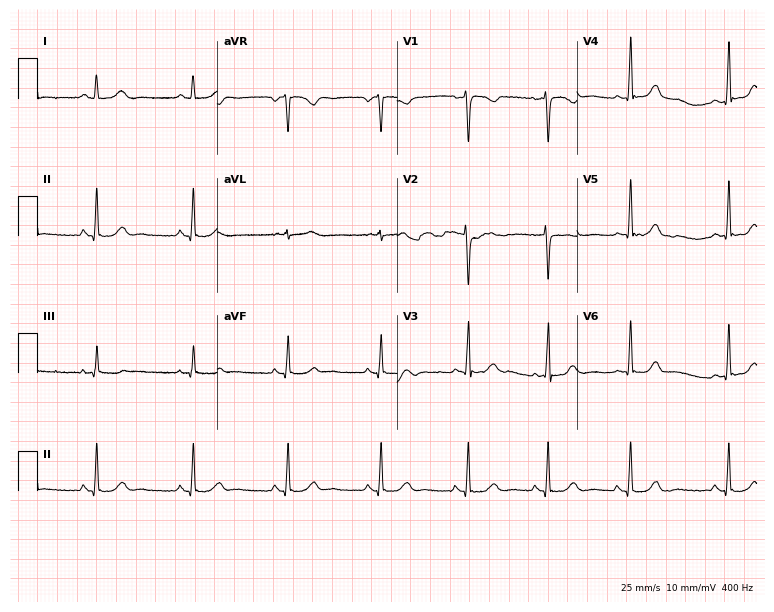
Standard 12-lead ECG recorded from a female patient, 31 years old (7.3-second recording at 400 Hz). Read as a normal ECG.